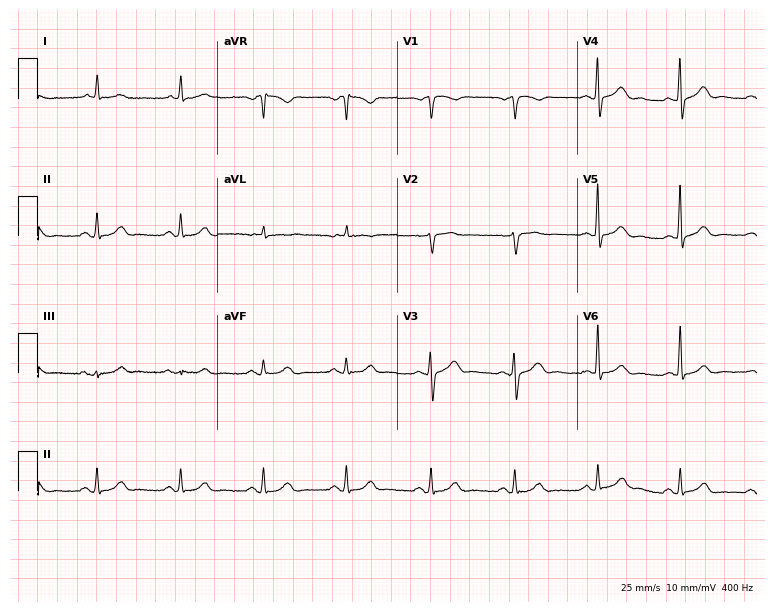
ECG (7.3-second recording at 400 Hz) — a male patient, 60 years old. Screened for six findings — first-degree AV block, right bundle branch block, left bundle branch block, sinus bradycardia, atrial fibrillation, sinus tachycardia — none is recorded.